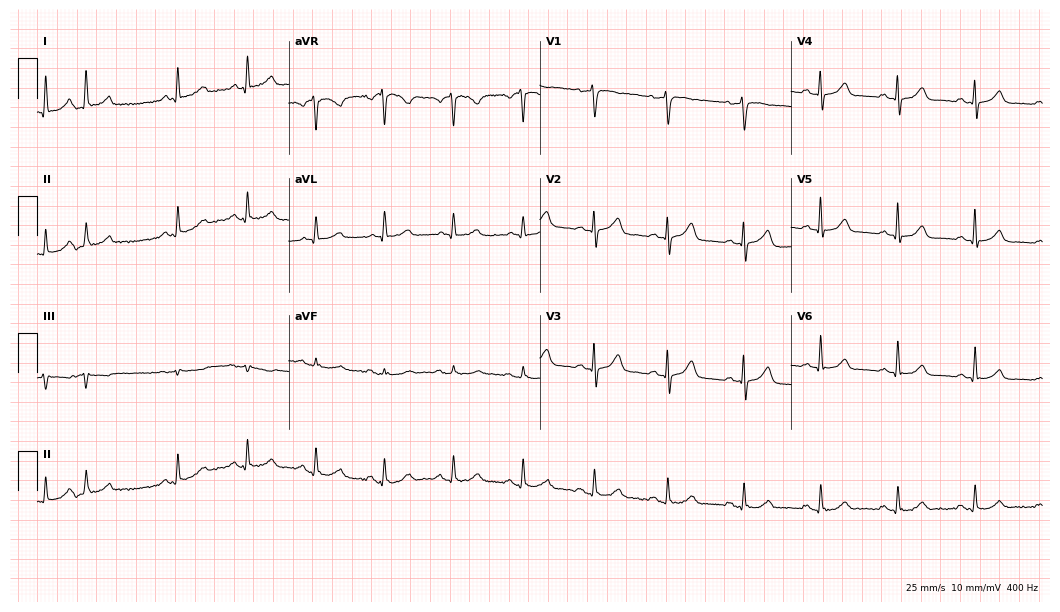
Resting 12-lead electrocardiogram. Patient: a male, 58 years old. Read as a normal ECG.